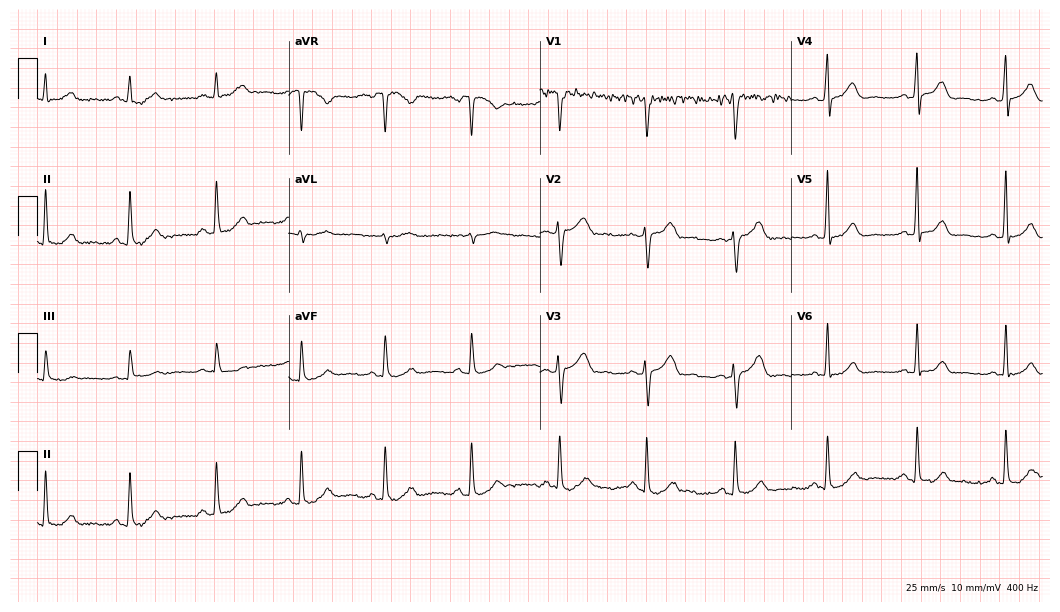
Resting 12-lead electrocardiogram (10.2-second recording at 400 Hz). Patient: a 55-year-old man. Read as a normal ECG.